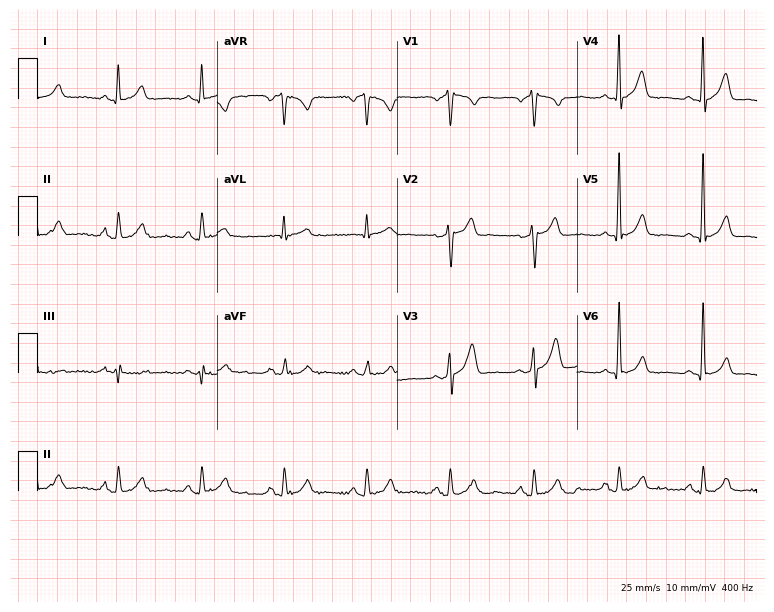
Standard 12-lead ECG recorded from a male patient, 64 years old. None of these six findings is recorded: first-degree AV block, right bundle branch block, left bundle branch block, sinus bradycardia, atrial fibrillation, sinus tachycardia.